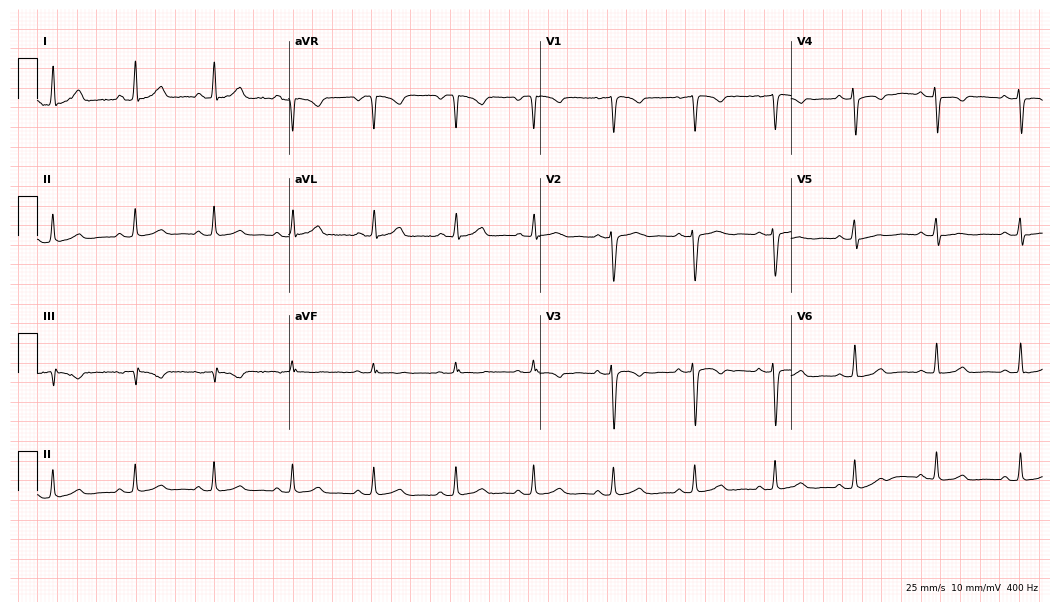
12-lead ECG from a 44-year-old female patient (10.2-second recording at 400 Hz). No first-degree AV block, right bundle branch block (RBBB), left bundle branch block (LBBB), sinus bradycardia, atrial fibrillation (AF) or sinus tachycardia recorded for this tracing. Findings outside these six are not listed.